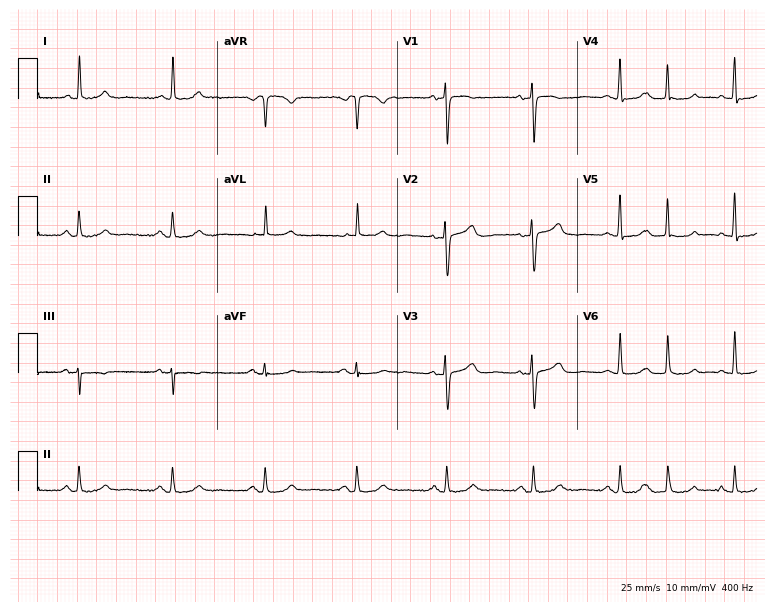
12-lead ECG from an 85-year-old female patient. Labelled as a normal ECG.